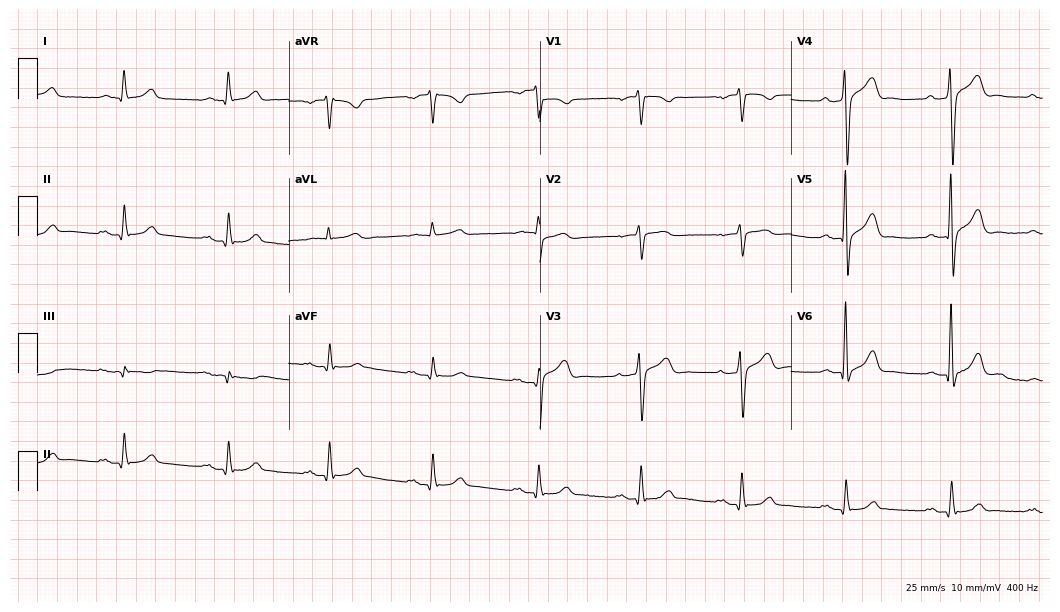
12-lead ECG (10.2-second recording at 400 Hz) from a 78-year-old male patient. Screened for six findings — first-degree AV block, right bundle branch block, left bundle branch block, sinus bradycardia, atrial fibrillation, sinus tachycardia — none is recorded. Findings outside these six are not listed.